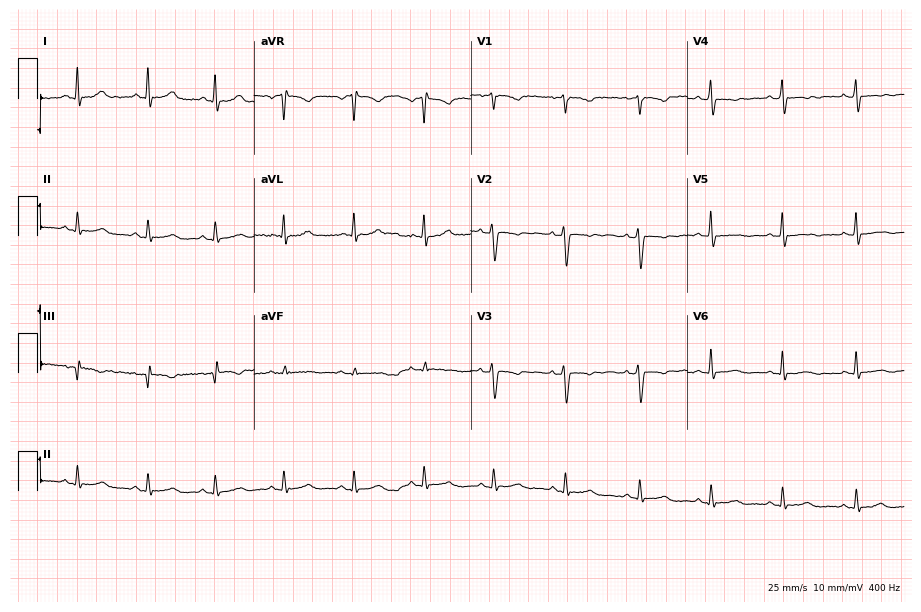
12-lead ECG from a female, 45 years old. Screened for six findings — first-degree AV block, right bundle branch block, left bundle branch block, sinus bradycardia, atrial fibrillation, sinus tachycardia — none is recorded.